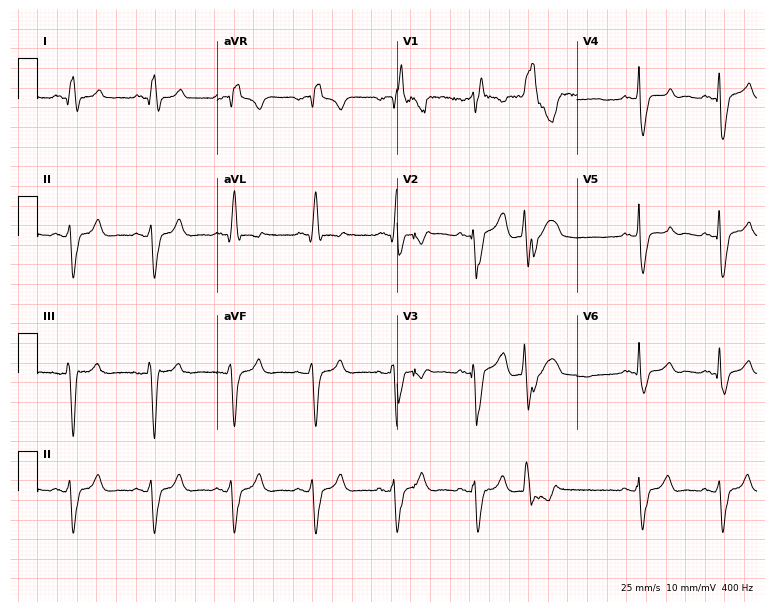
Standard 12-lead ECG recorded from a male patient, 58 years old (7.3-second recording at 400 Hz). The tracing shows right bundle branch block.